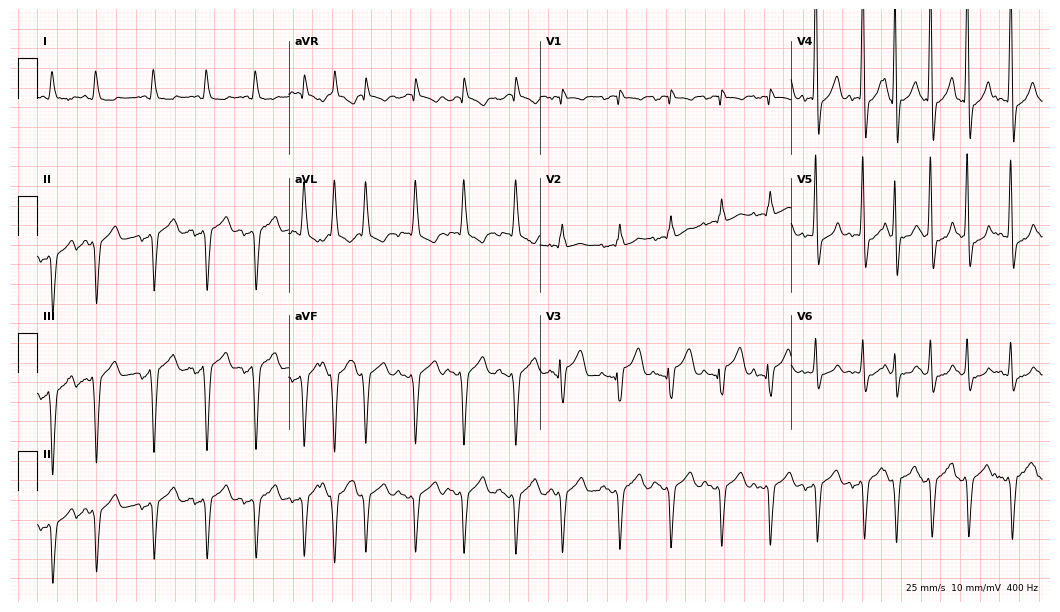
Electrocardiogram, a 72-year-old male. Interpretation includes sinus tachycardia (a sinus rate of 100 beats per minute or more).